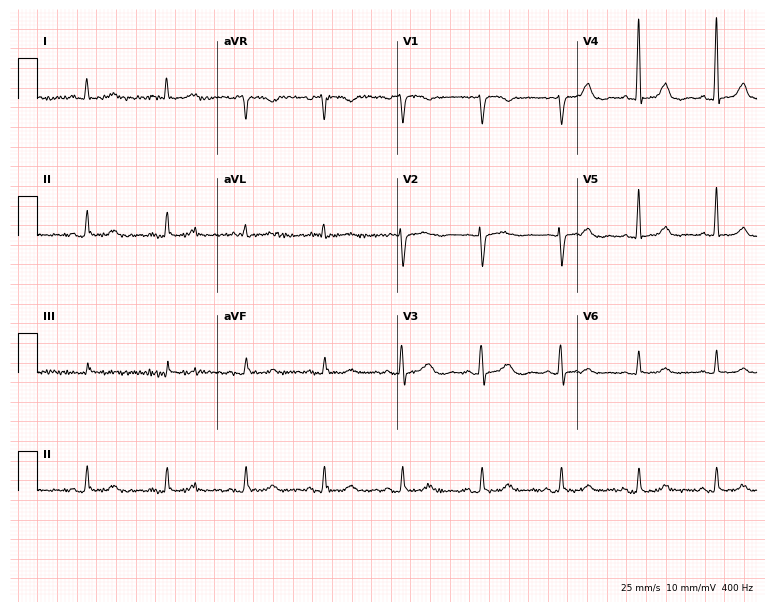
Standard 12-lead ECG recorded from a 60-year-old female patient (7.3-second recording at 400 Hz). Read as a normal ECG.